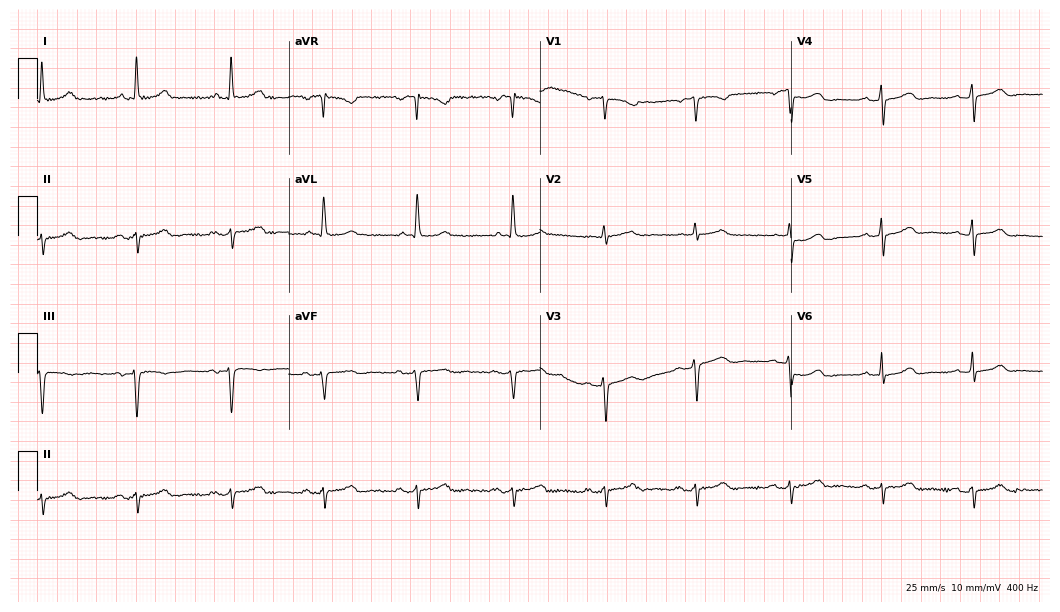
Electrocardiogram, a female patient, 72 years old. Of the six screened findings (first-degree AV block, right bundle branch block (RBBB), left bundle branch block (LBBB), sinus bradycardia, atrial fibrillation (AF), sinus tachycardia), none is recorded.